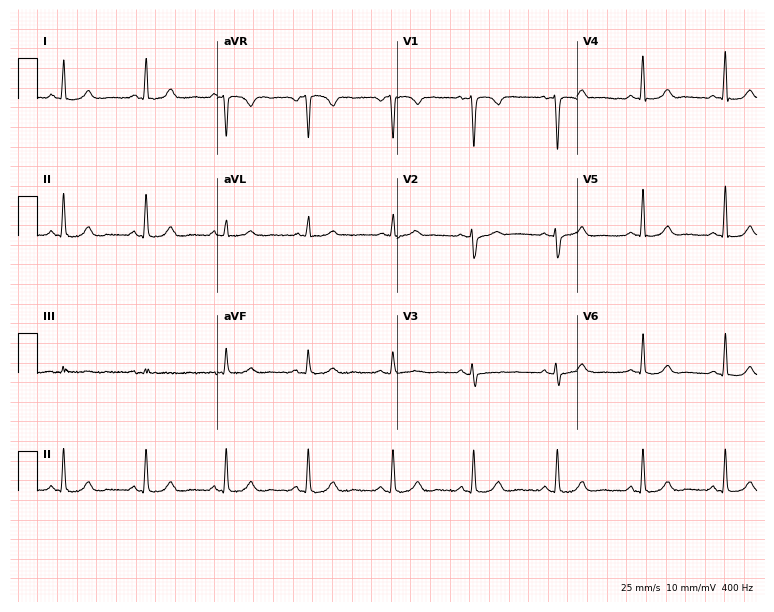
Standard 12-lead ECG recorded from a woman, 40 years old. Read as a normal ECG.